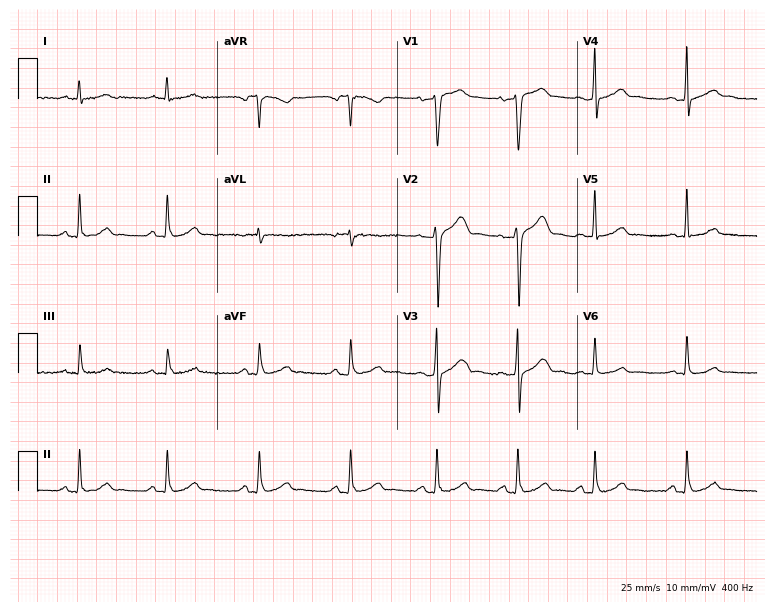
12-lead ECG from a female patient, 33 years old (7.3-second recording at 400 Hz). No first-degree AV block, right bundle branch block (RBBB), left bundle branch block (LBBB), sinus bradycardia, atrial fibrillation (AF) or sinus tachycardia recorded for this tracing.